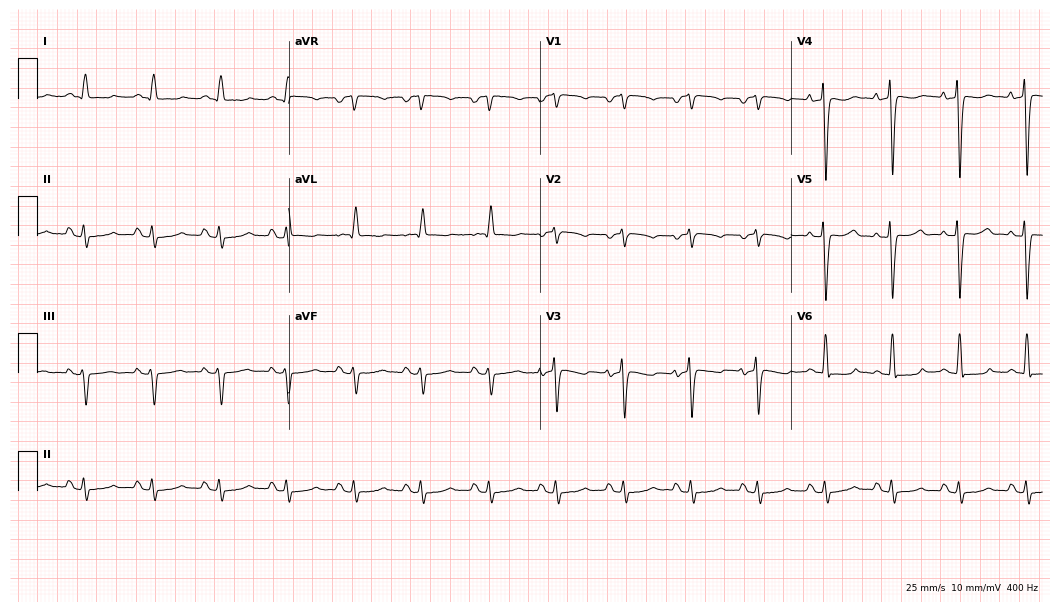
ECG (10.2-second recording at 400 Hz) — a 58-year-old female. Screened for six findings — first-degree AV block, right bundle branch block (RBBB), left bundle branch block (LBBB), sinus bradycardia, atrial fibrillation (AF), sinus tachycardia — none is recorded. Findings outside these six are not listed.